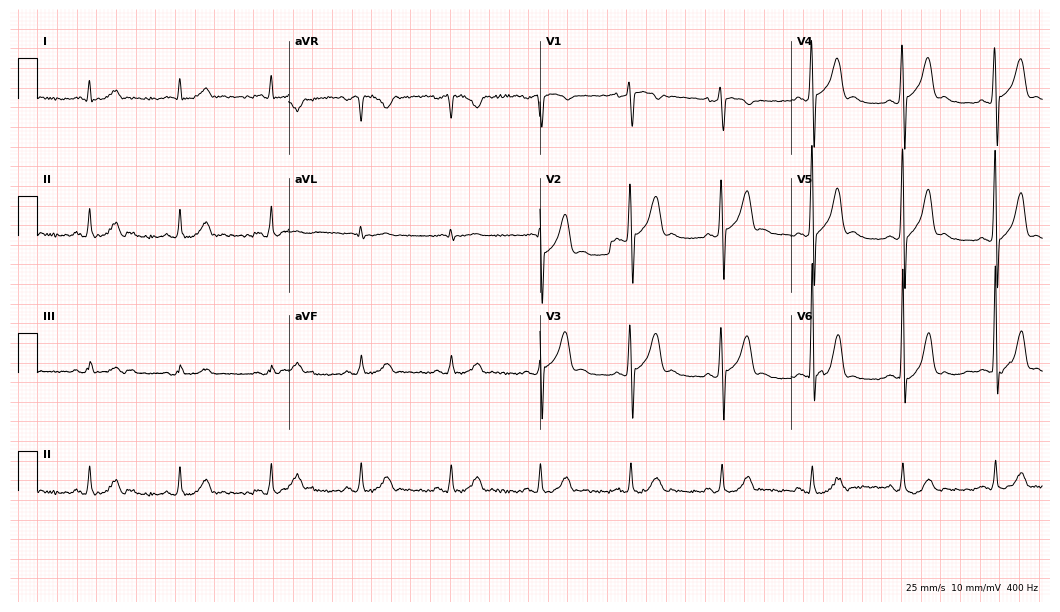
12-lead ECG from a 46-year-old male (10.2-second recording at 400 Hz). No first-degree AV block, right bundle branch block (RBBB), left bundle branch block (LBBB), sinus bradycardia, atrial fibrillation (AF) or sinus tachycardia recorded for this tracing. Other findings, if any, are not listed.